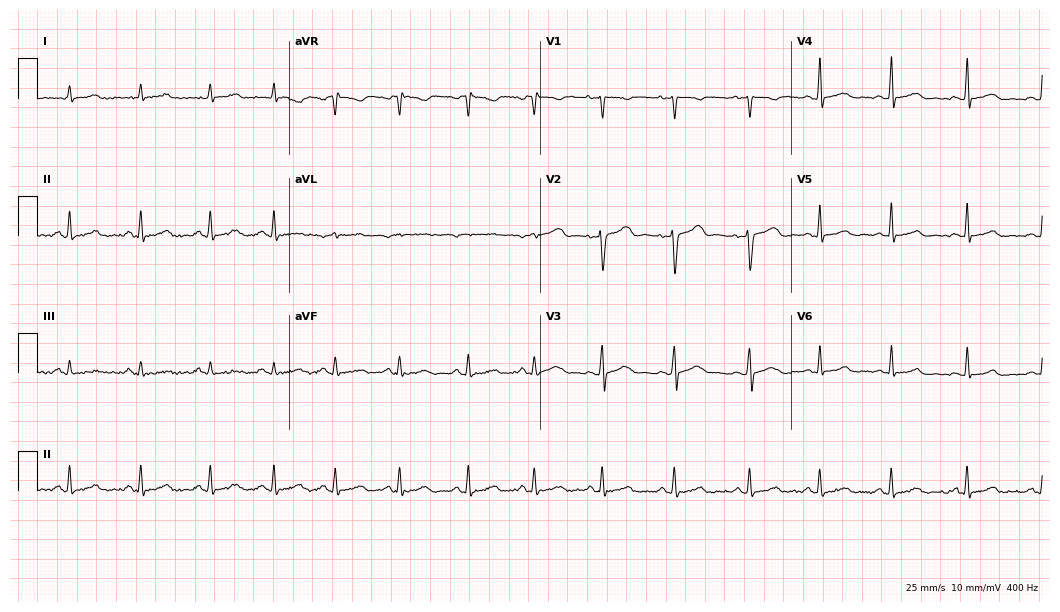
Resting 12-lead electrocardiogram (10.2-second recording at 400 Hz). Patient: a 27-year-old female. Read as a normal ECG.